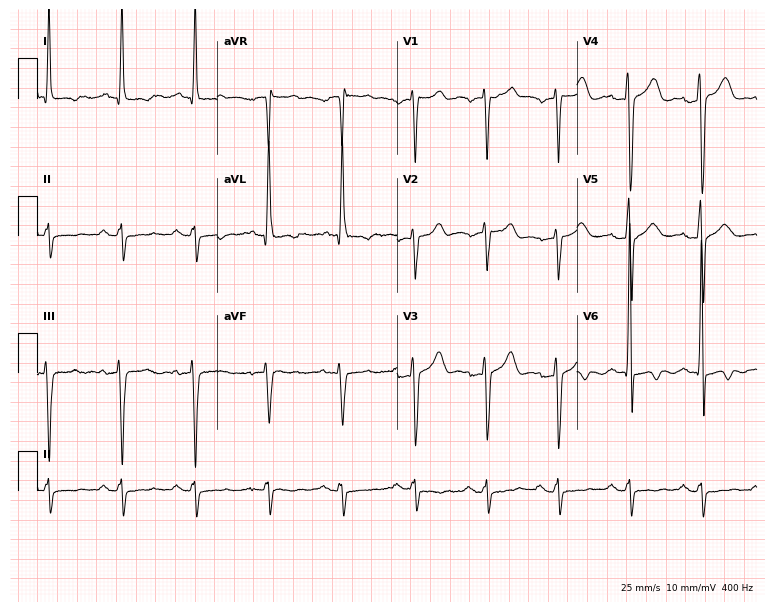
Electrocardiogram (7.3-second recording at 400 Hz), a man, 54 years old. Of the six screened findings (first-degree AV block, right bundle branch block, left bundle branch block, sinus bradycardia, atrial fibrillation, sinus tachycardia), none is recorded. Findings outside these six are not listed.